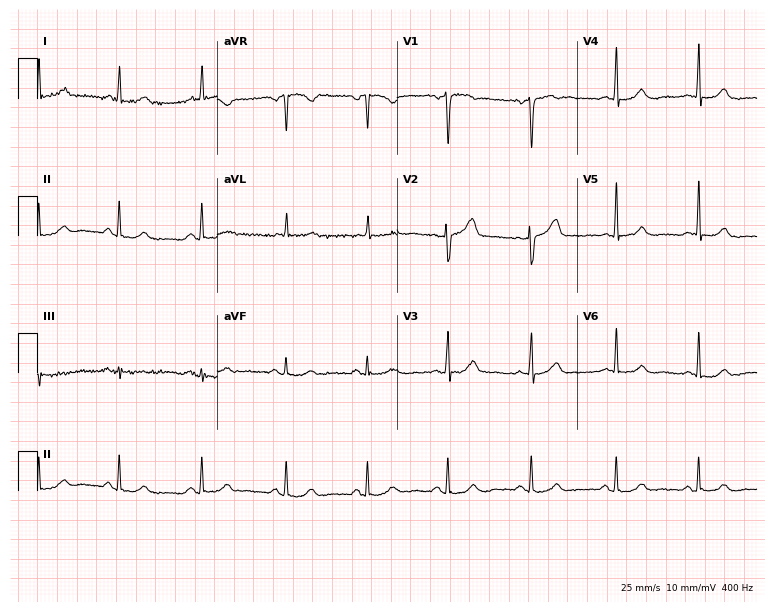
Resting 12-lead electrocardiogram (7.3-second recording at 400 Hz). Patient: a 50-year-old woman. Read as a normal ECG.